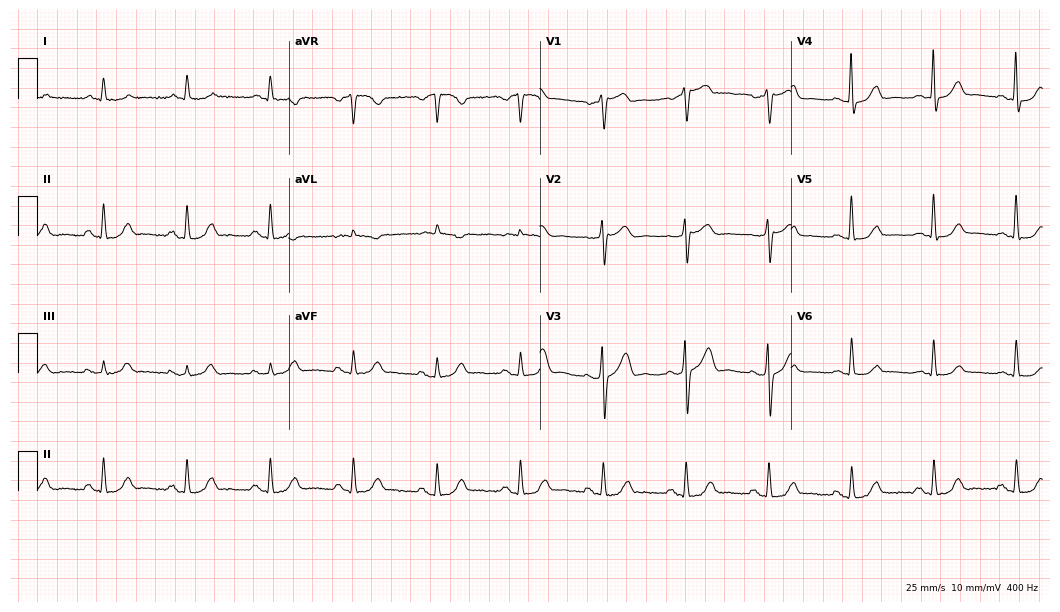
ECG (10.2-second recording at 400 Hz) — a man, 81 years old. Labelled as a normal ECG.